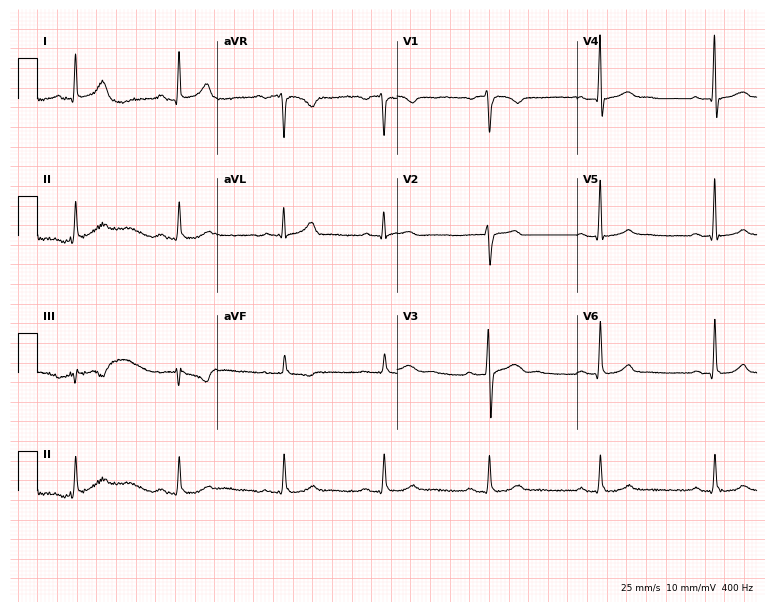
12-lead ECG (7.3-second recording at 400 Hz) from a 55-year-old male. Screened for six findings — first-degree AV block, right bundle branch block, left bundle branch block, sinus bradycardia, atrial fibrillation, sinus tachycardia — none is recorded.